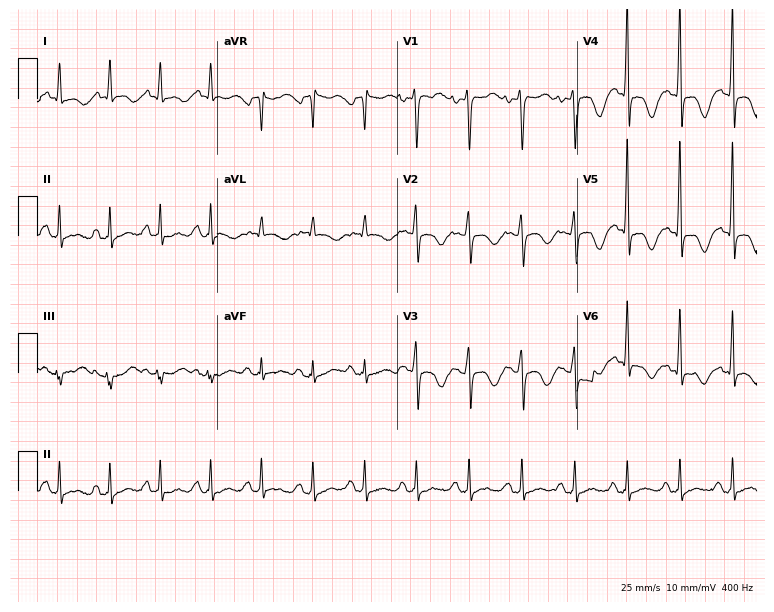
12-lead ECG from a female, 27 years old. Findings include sinus tachycardia (a sinus rate of 100 beats per minute or more).